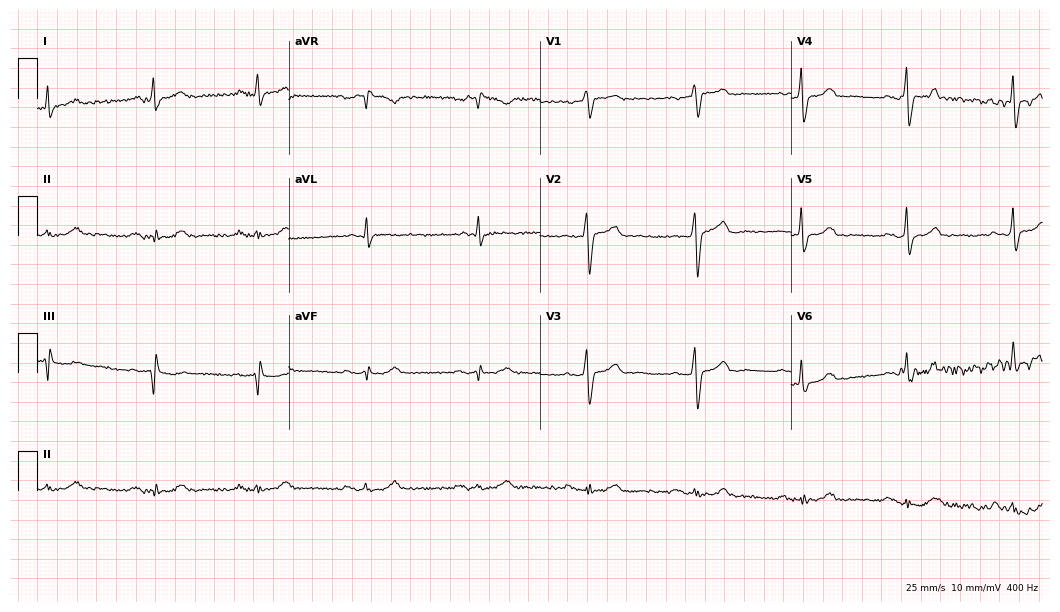
Standard 12-lead ECG recorded from a male, 57 years old. None of these six findings is recorded: first-degree AV block, right bundle branch block (RBBB), left bundle branch block (LBBB), sinus bradycardia, atrial fibrillation (AF), sinus tachycardia. Other findings, if any, are not listed.